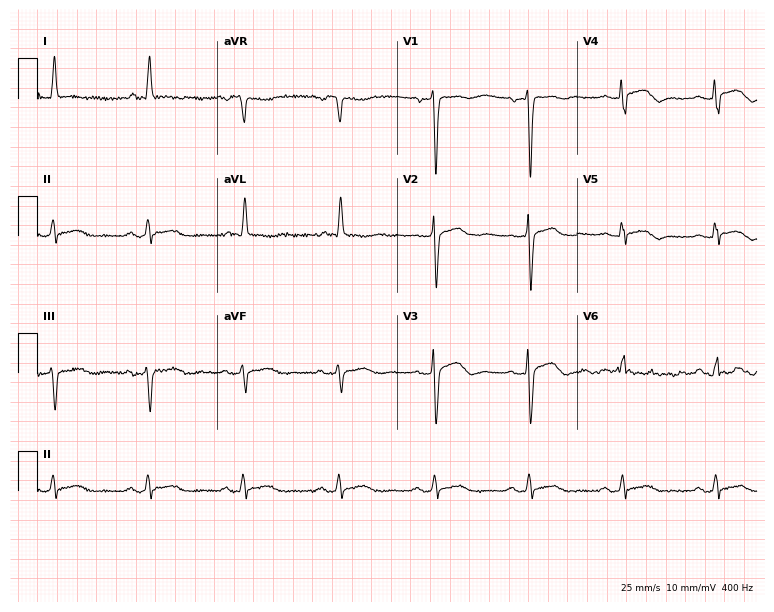
12-lead ECG from a female, 78 years old. Screened for six findings — first-degree AV block, right bundle branch block (RBBB), left bundle branch block (LBBB), sinus bradycardia, atrial fibrillation (AF), sinus tachycardia — none is recorded. Only these six findings were labelled.